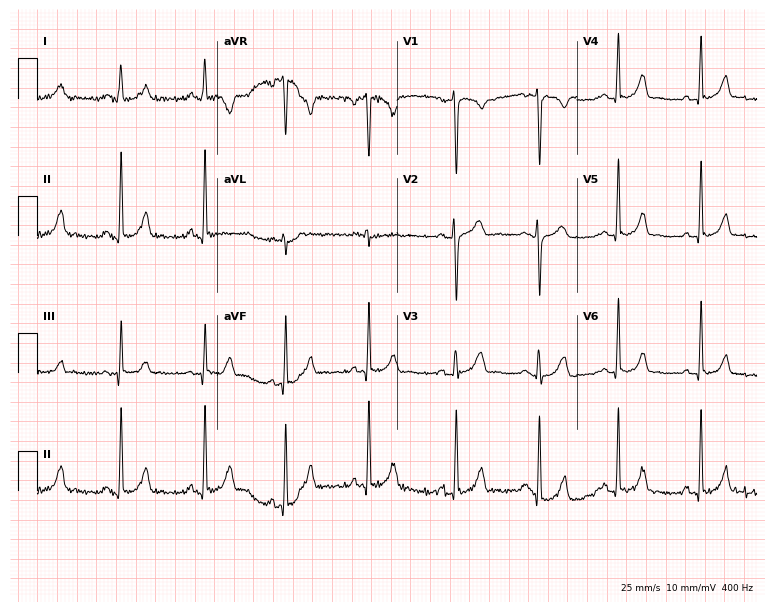
ECG — a 19-year-old female. Labelled as a normal ECG.